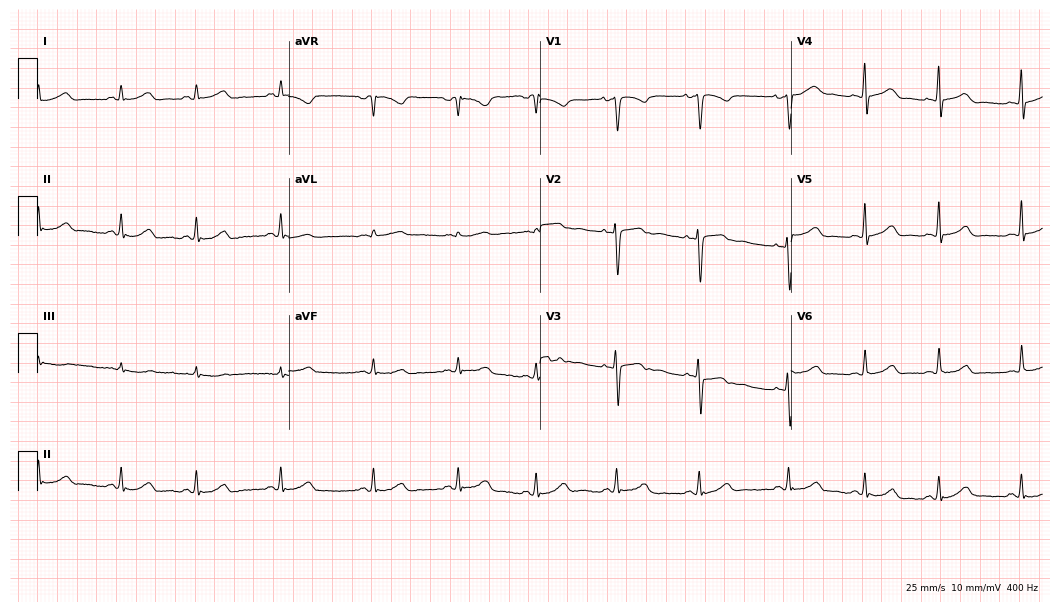
Electrocardiogram, a woman, 22 years old. Of the six screened findings (first-degree AV block, right bundle branch block (RBBB), left bundle branch block (LBBB), sinus bradycardia, atrial fibrillation (AF), sinus tachycardia), none is recorded.